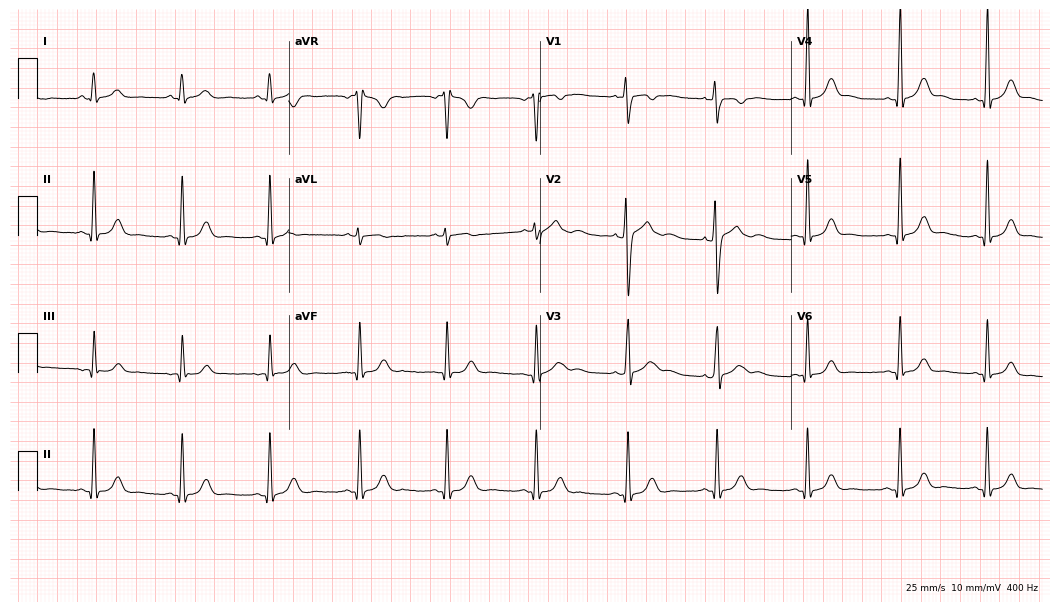
12-lead ECG from a 27-year-old man (10.2-second recording at 400 Hz). Recorded interpretation: within normal limits.